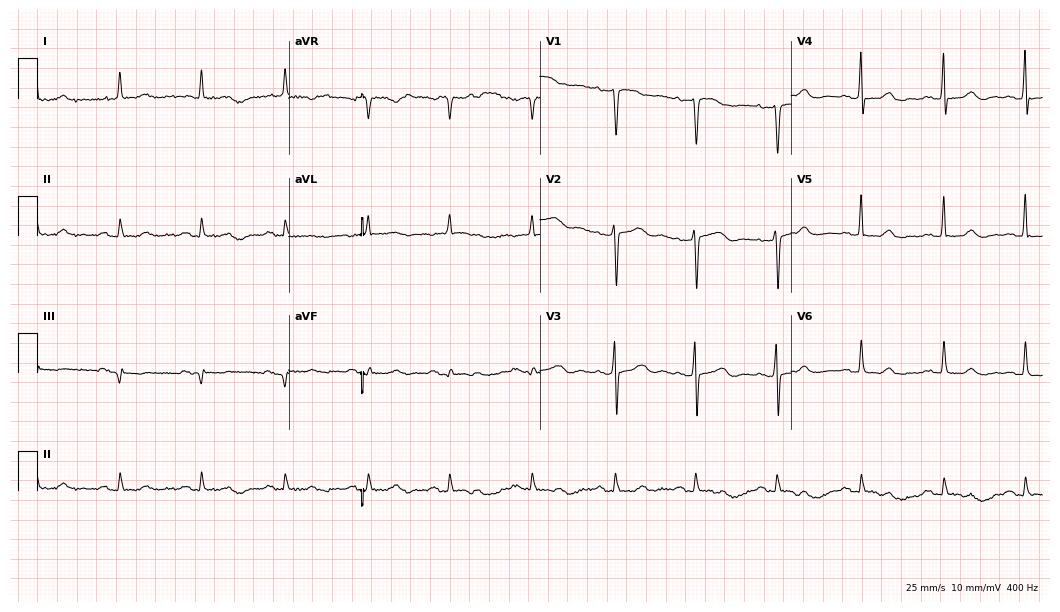
12-lead ECG from a 73-year-old female (10.2-second recording at 400 Hz). No first-degree AV block, right bundle branch block (RBBB), left bundle branch block (LBBB), sinus bradycardia, atrial fibrillation (AF) or sinus tachycardia recorded for this tracing. Other findings, if any, are not listed.